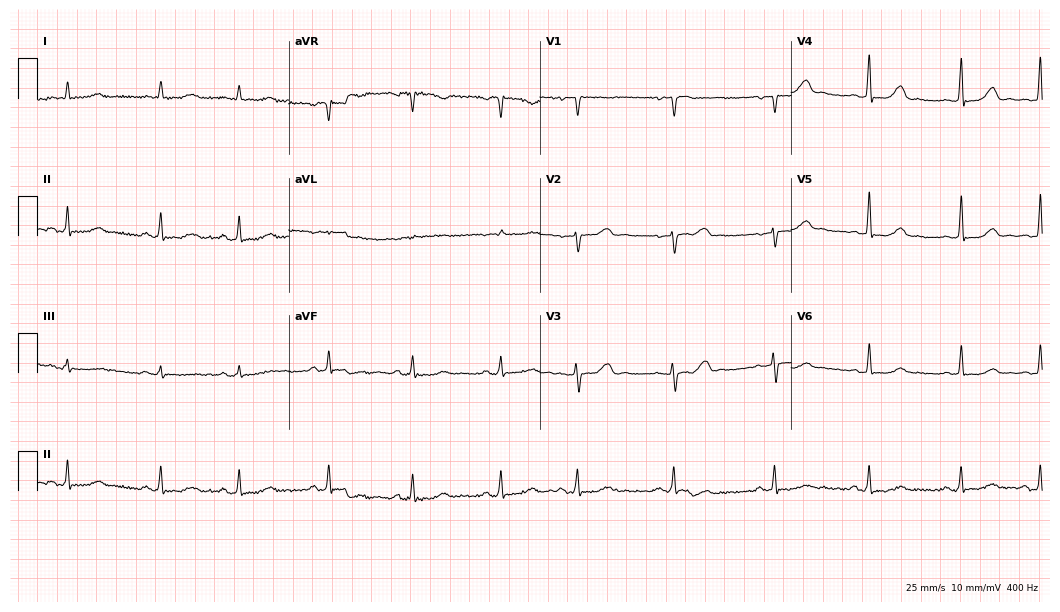
12-lead ECG (10.2-second recording at 400 Hz) from a 51-year-old woman. Labelled as a normal ECG.